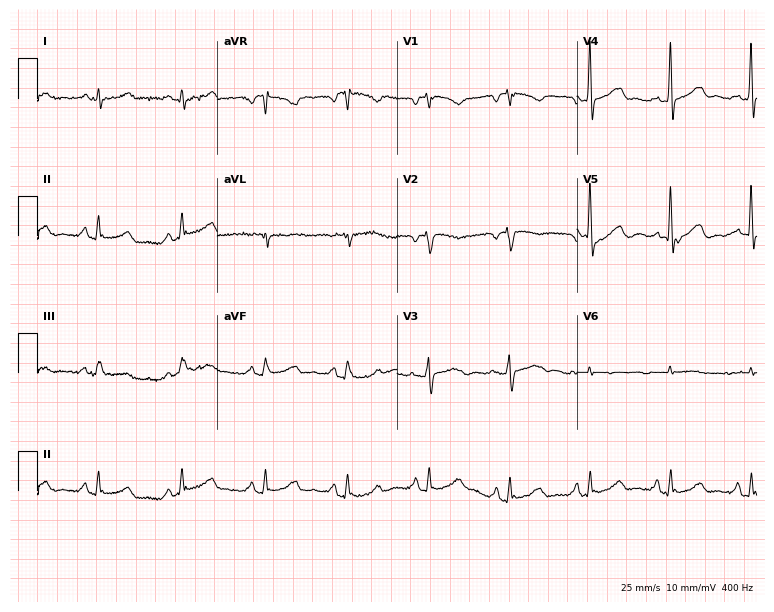
Electrocardiogram (7.3-second recording at 400 Hz), a 42-year-old female patient. Of the six screened findings (first-degree AV block, right bundle branch block, left bundle branch block, sinus bradycardia, atrial fibrillation, sinus tachycardia), none is recorded. Other findings, if any, are not listed.